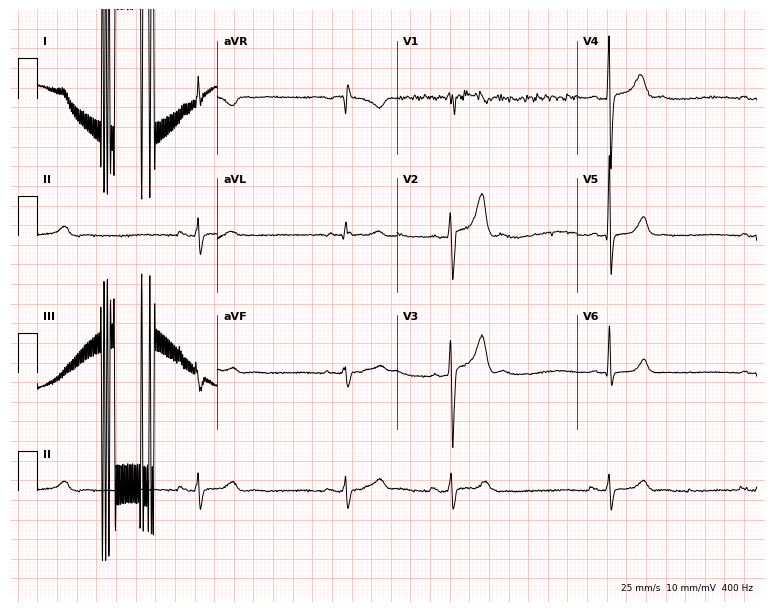
12-lead ECG from a 23-year-old male. Findings include sinus bradycardia (a sinus rate of 50 beats per minute or less).